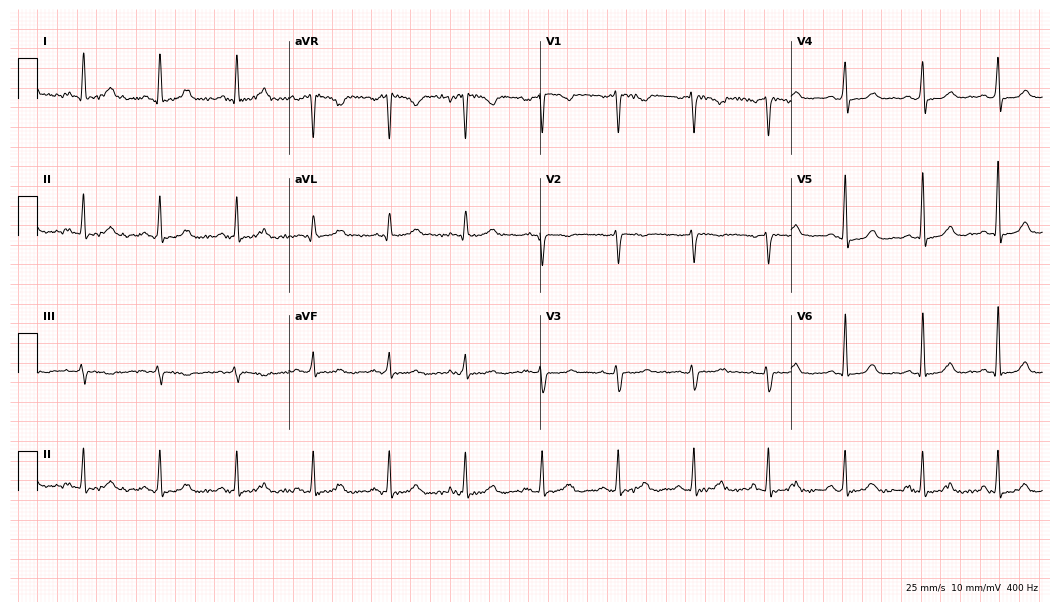
12-lead ECG from a female, 44 years old. Screened for six findings — first-degree AV block, right bundle branch block (RBBB), left bundle branch block (LBBB), sinus bradycardia, atrial fibrillation (AF), sinus tachycardia — none is recorded. Findings outside these six are not listed.